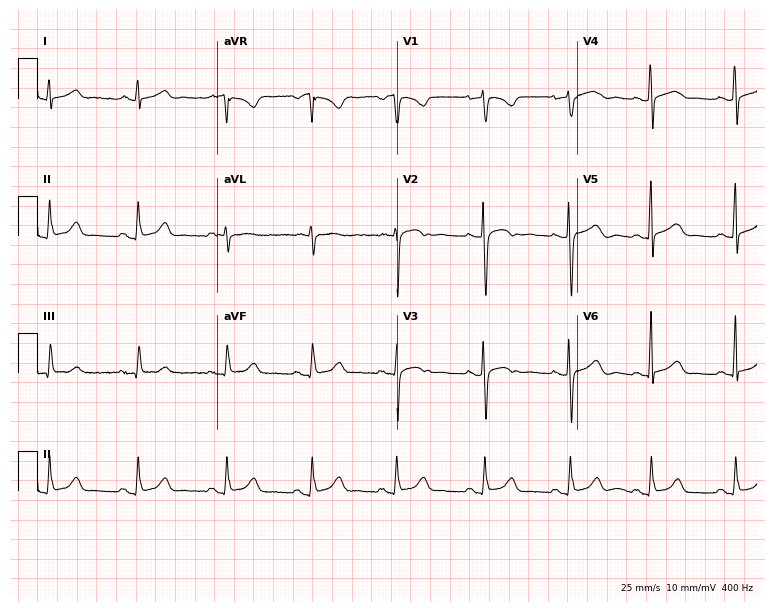
12-lead ECG (7.3-second recording at 400 Hz) from a female patient, 64 years old. Screened for six findings — first-degree AV block, right bundle branch block, left bundle branch block, sinus bradycardia, atrial fibrillation, sinus tachycardia — none is recorded.